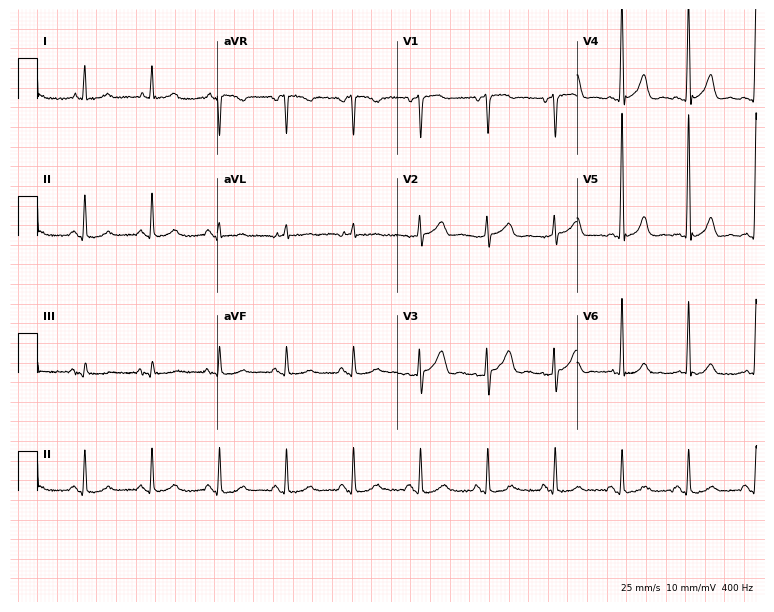
Standard 12-lead ECG recorded from an 81-year-old man (7.3-second recording at 400 Hz). Read as a normal ECG.